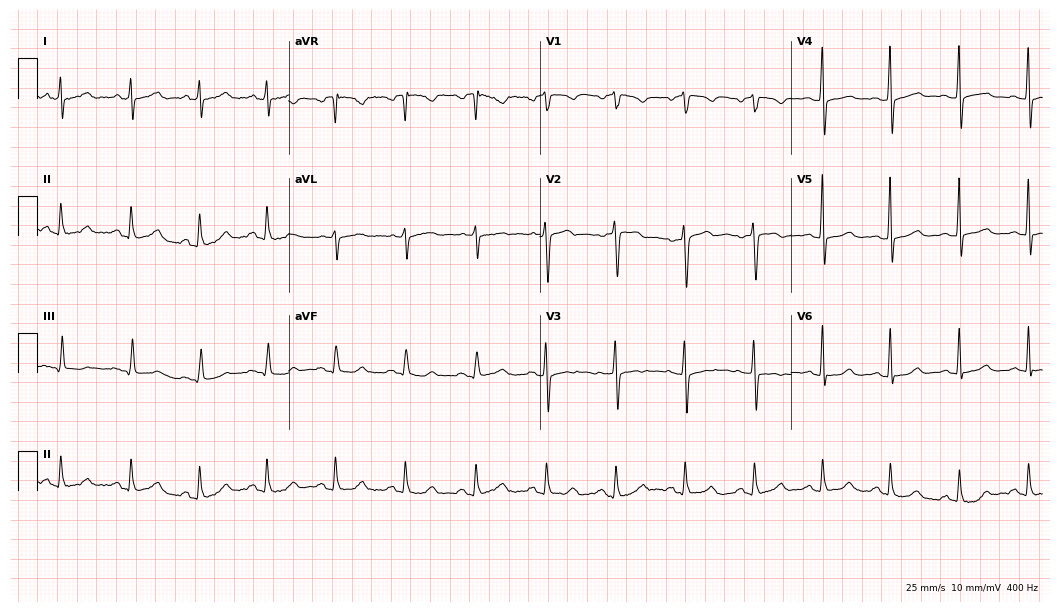
12-lead ECG from a 51-year-old woman (10.2-second recording at 400 Hz). No first-degree AV block, right bundle branch block, left bundle branch block, sinus bradycardia, atrial fibrillation or sinus tachycardia recorded for this tracing. Only these six findings were labelled.